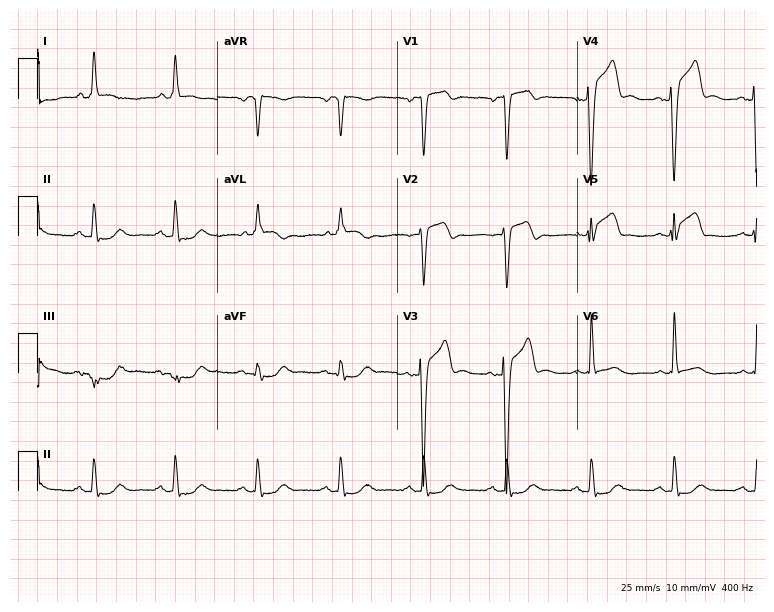
Resting 12-lead electrocardiogram. Patient: a 68-year-old male. None of these six findings is recorded: first-degree AV block, right bundle branch block (RBBB), left bundle branch block (LBBB), sinus bradycardia, atrial fibrillation (AF), sinus tachycardia. Findings outside these six are not listed.